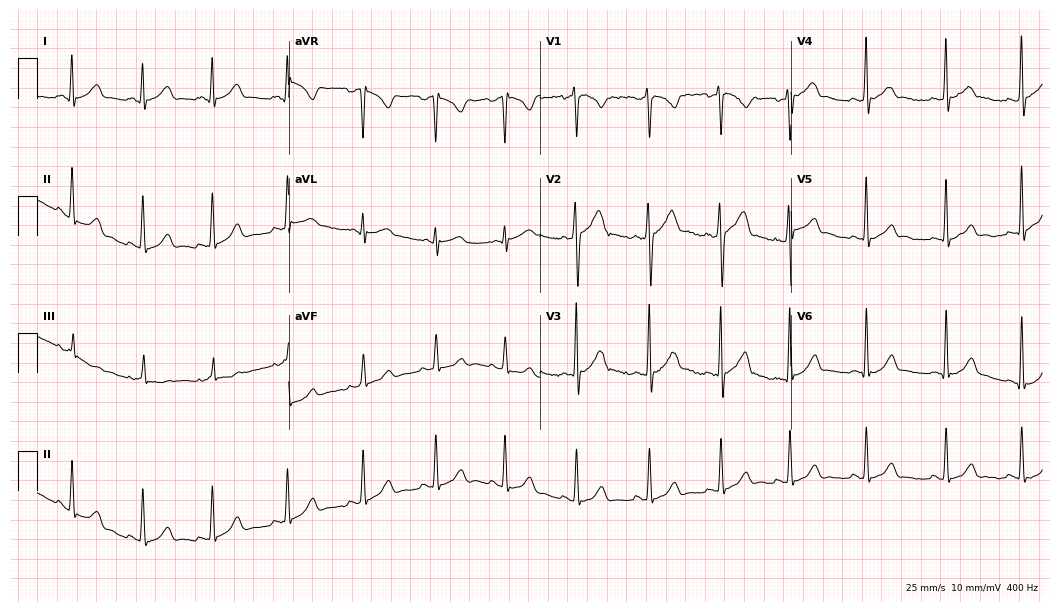
12-lead ECG from a 21-year-old man. Labelled as a normal ECG.